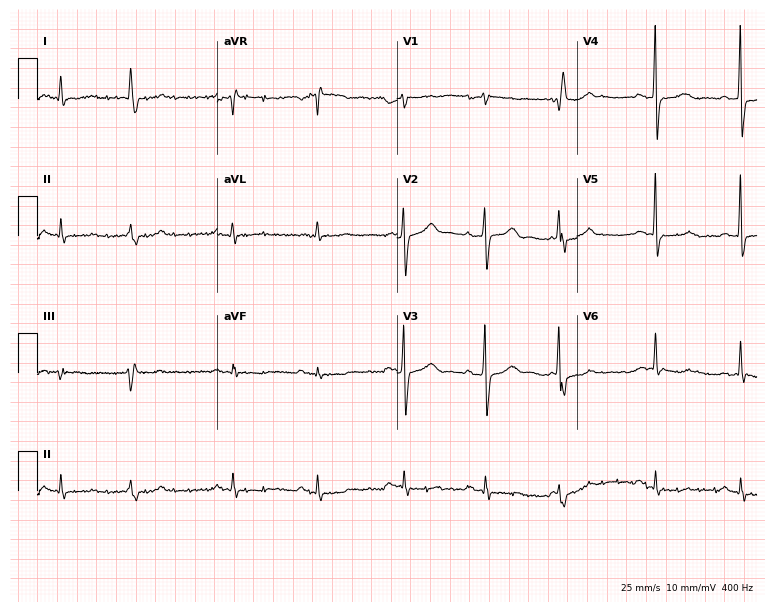
Standard 12-lead ECG recorded from a 79-year-old male patient (7.3-second recording at 400 Hz). None of these six findings is recorded: first-degree AV block, right bundle branch block, left bundle branch block, sinus bradycardia, atrial fibrillation, sinus tachycardia. Other findings, if any, are not listed.